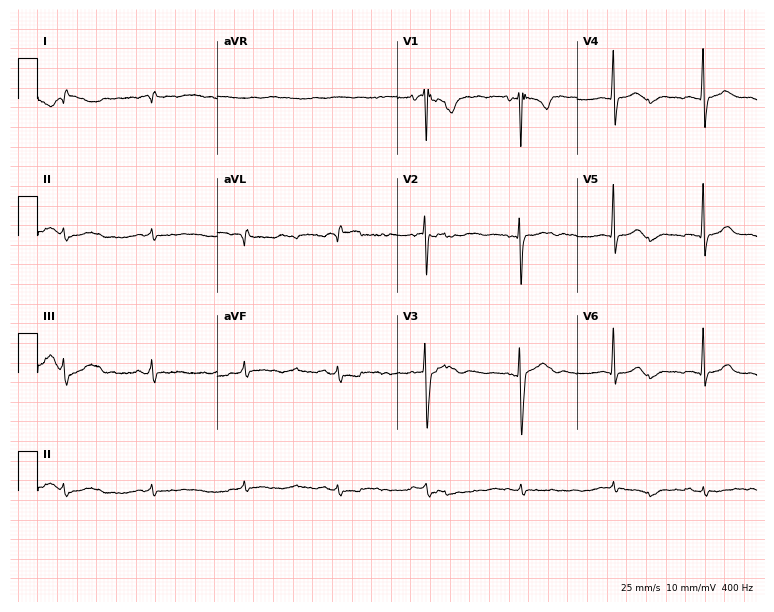
12-lead ECG from a 32-year-old male patient. No first-degree AV block, right bundle branch block, left bundle branch block, sinus bradycardia, atrial fibrillation or sinus tachycardia recorded for this tracing.